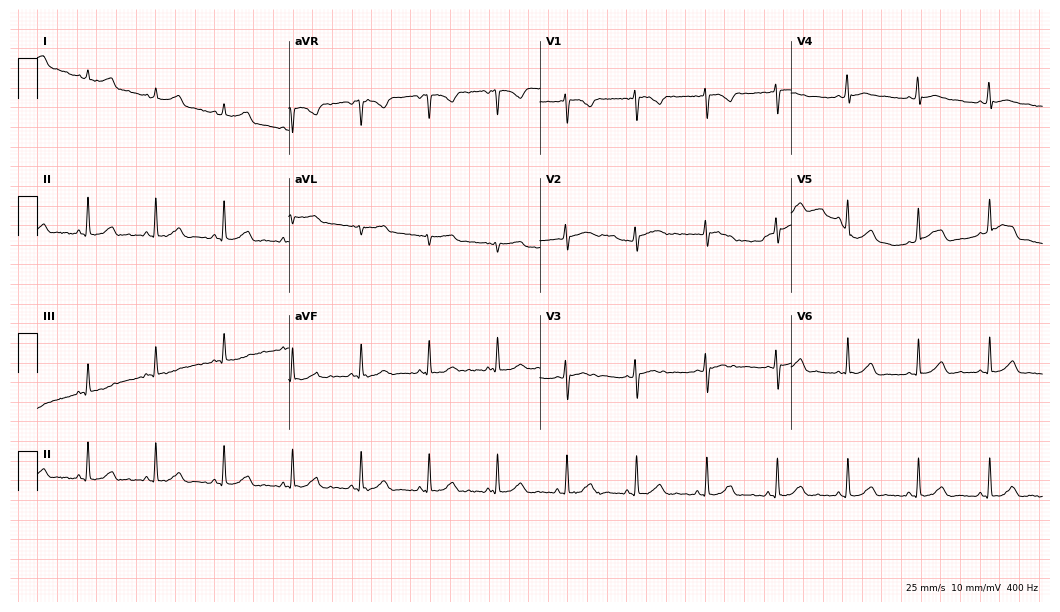
Electrocardiogram, a 29-year-old female patient. Of the six screened findings (first-degree AV block, right bundle branch block, left bundle branch block, sinus bradycardia, atrial fibrillation, sinus tachycardia), none is recorded. Only these six findings were labelled.